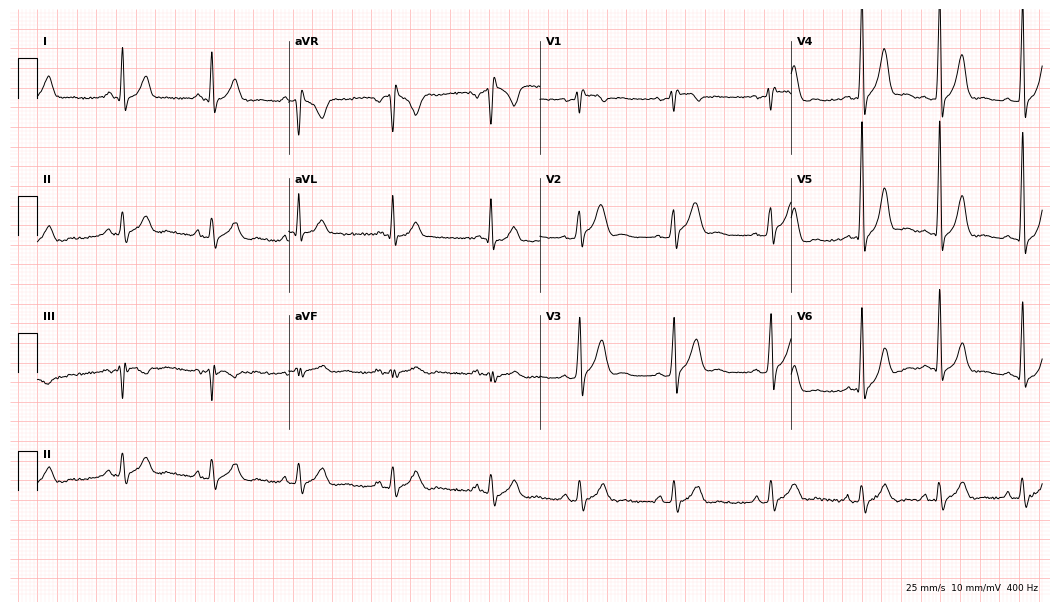
12-lead ECG from a 27-year-old man. No first-degree AV block, right bundle branch block (RBBB), left bundle branch block (LBBB), sinus bradycardia, atrial fibrillation (AF) or sinus tachycardia recorded for this tracing.